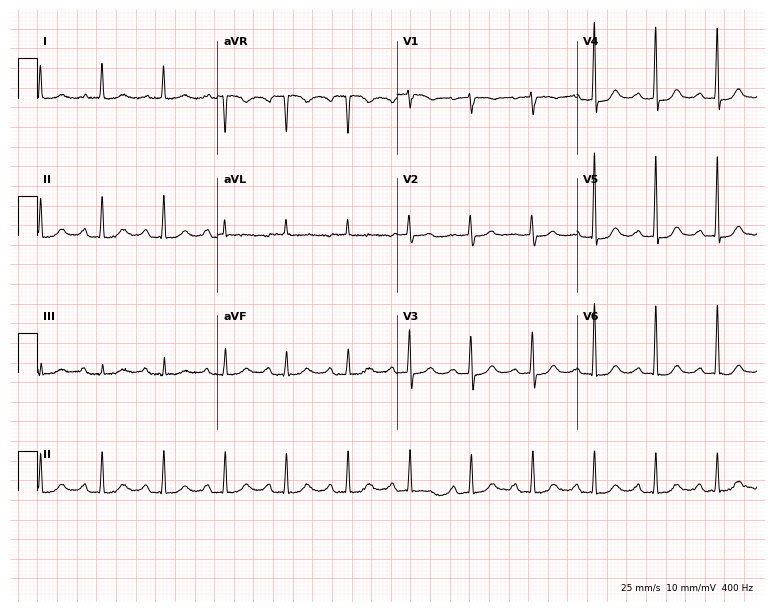
Standard 12-lead ECG recorded from a woman, 79 years old. Read as a normal ECG.